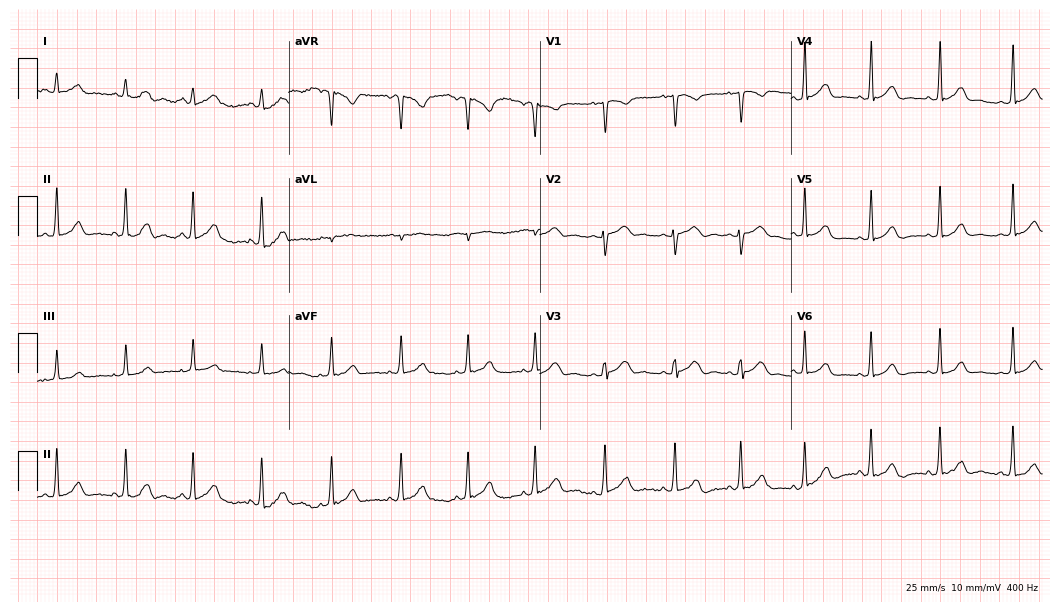
12-lead ECG (10.2-second recording at 400 Hz) from an 18-year-old female. Labelled as a normal ECG.